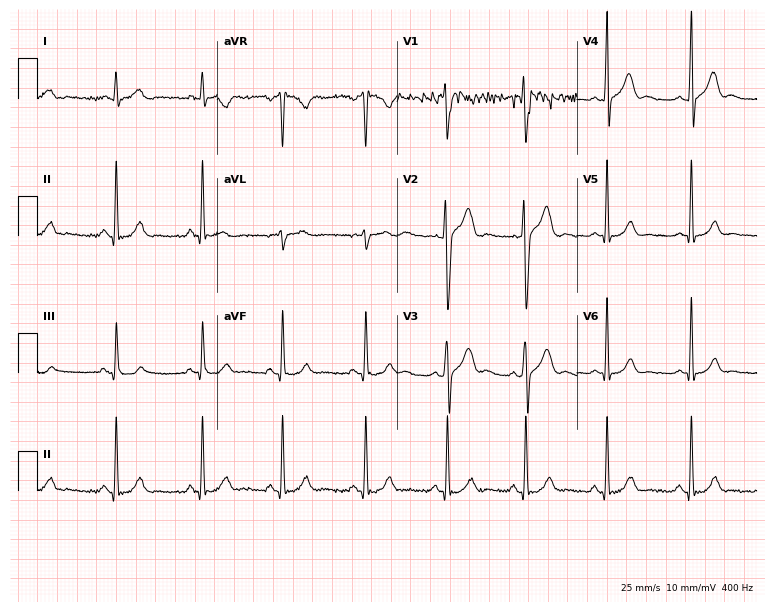
Resting 12-lead electrocardiogram. Patient: a 24-year-old man. Read as a normal ECG.